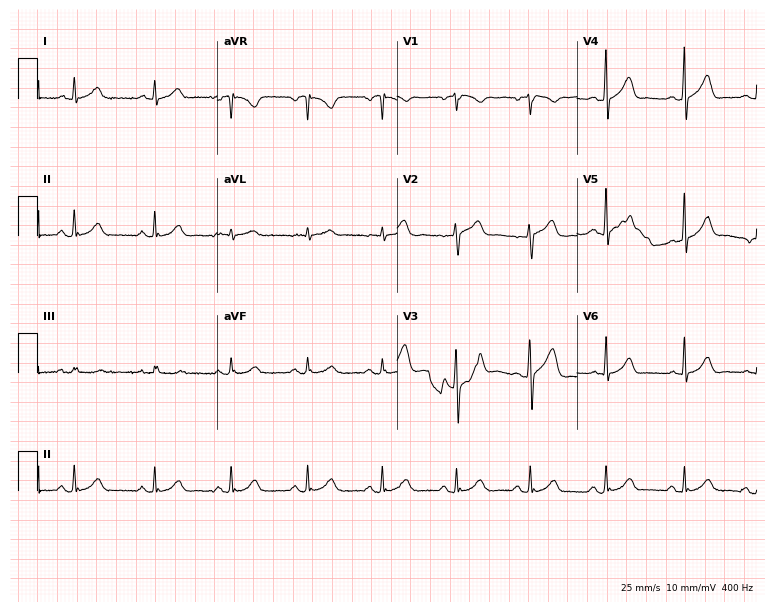
12-lead ECG from a male patient, 43 years old (7.3-second recording at 400 Hz). Recorded interpretation: within normal limits.